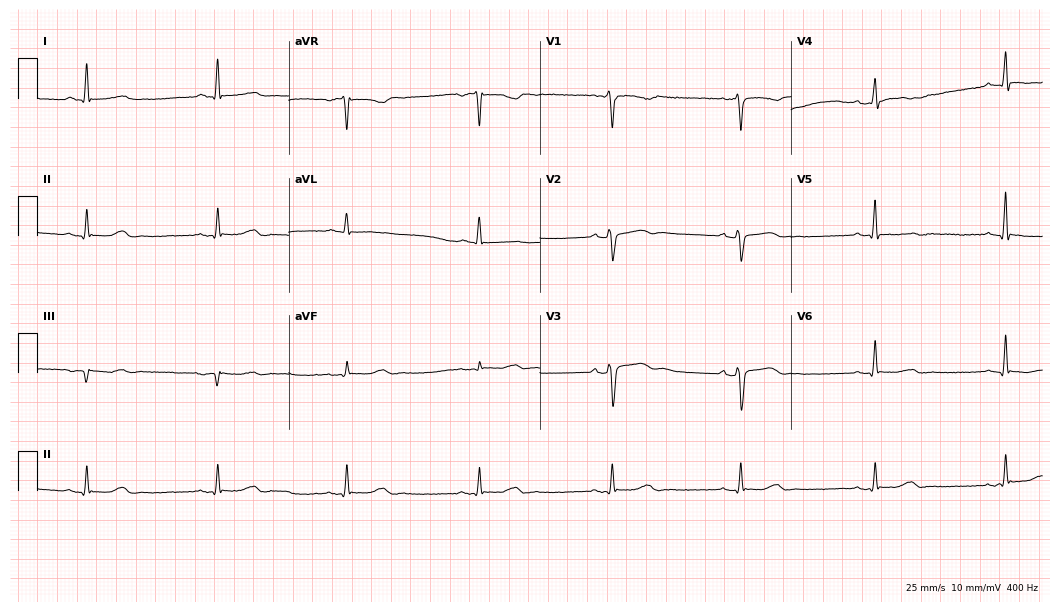
ECG (10.2-second recording at 400 Hz) — a 64-year-old male patient. Screened for six findings — first-degree AV block, right bundle branch block (RBBB), left bundle branch block (LBBB), sinus bradycardia, atrial fibrillation (AF), sinus tachycardia — none is recorded. Only these six findings were labelled.